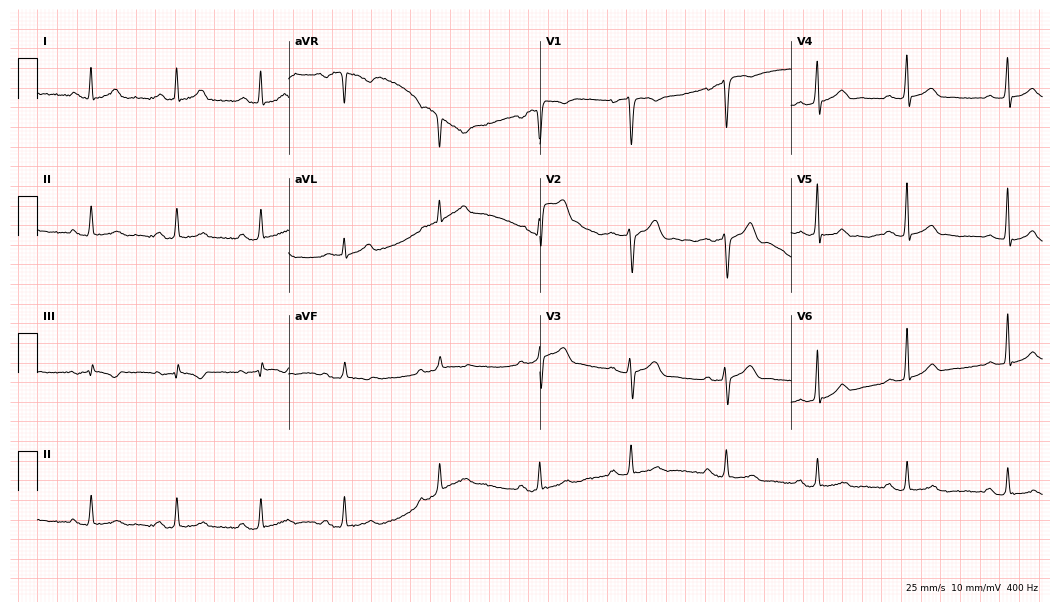
Resting 12-lead electrocardiogram. Patient: a female, 21 years old. The tracing shows first-degree AV block.